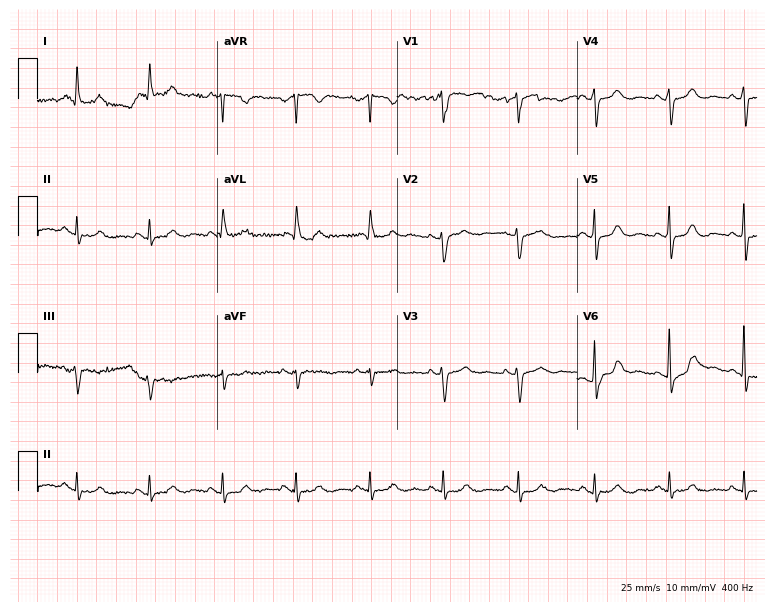
Resting 12-lead electrocardiogram. Patient: a 73-year-old woman. Read as a normal ECG.